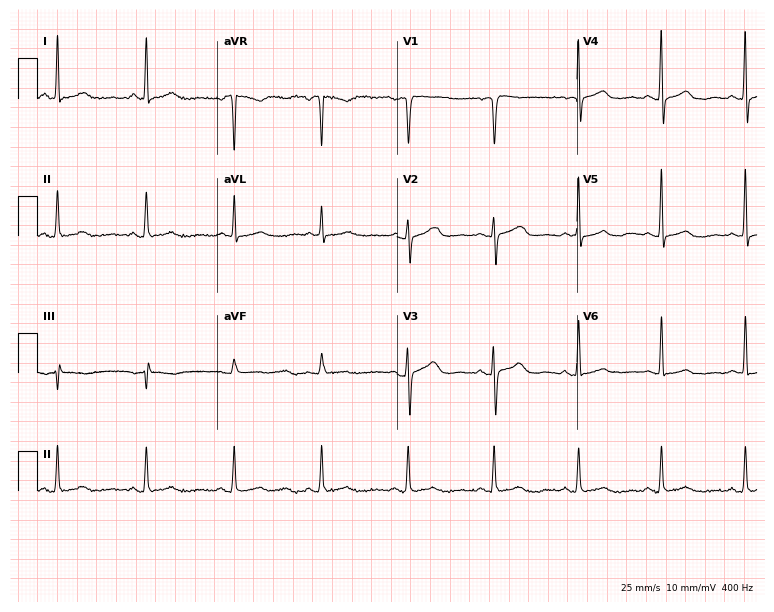
ECG (7.3-second recording at 400 Hz) — a 47-year-old female patient. Labelled as a normal ECG.